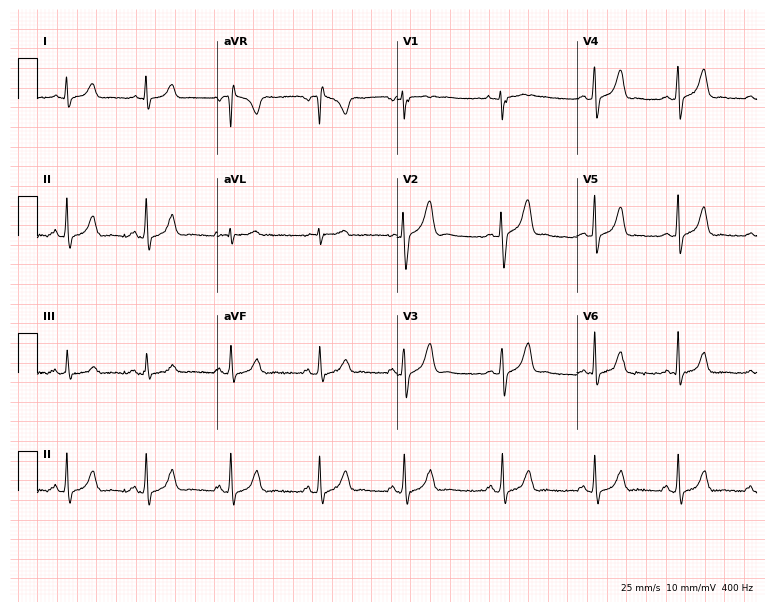
Electrocardiogram (7.3-second recording at 400 Hz), a 19-year-old female. Overall reading on record: normal ECG.